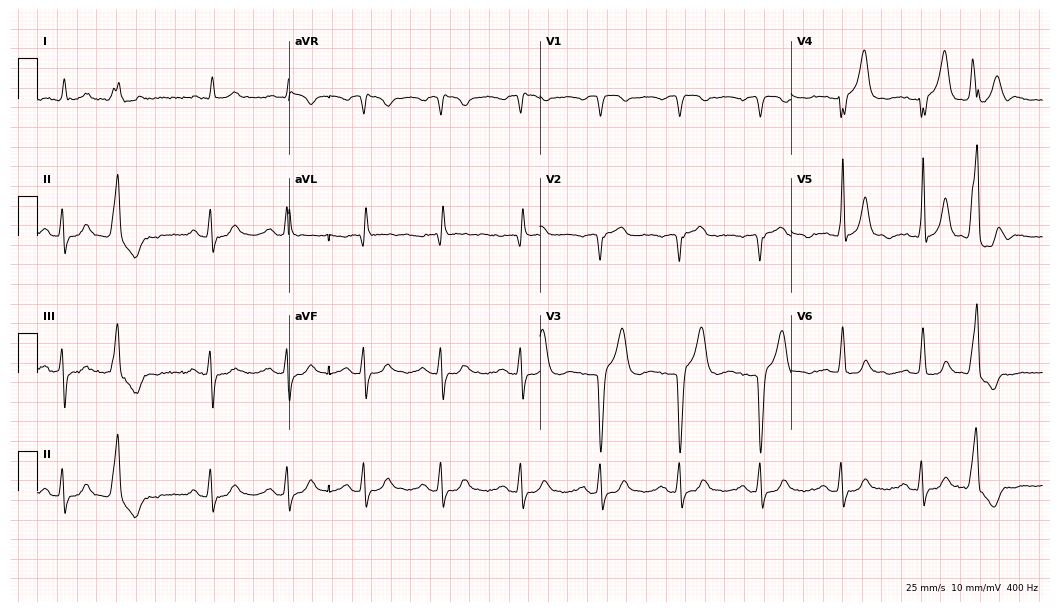
12-lead ECG (10.2-second recording at 400 Hz) from a 78-year-old man. Screened for six findings — first-degree AV block, right bundle branch block, left bundle branch block, sinus bradycardia, atrial fibrillation, sinus tachycardia — none is recorded.